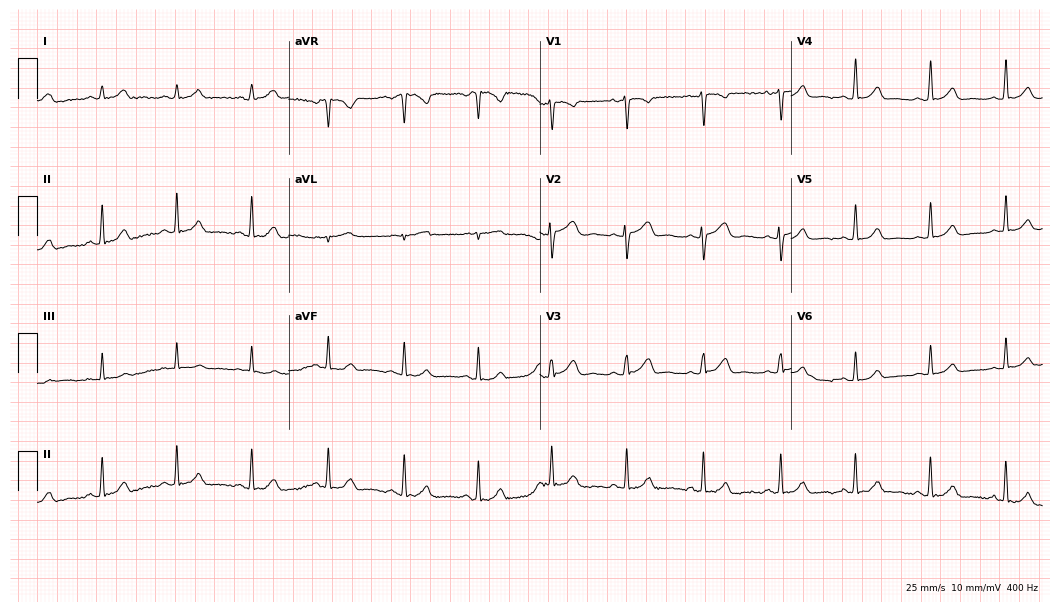
12-lead ECG from a woman, 23 years old. Screened for six findings — first-degree AV block, right bundle branch block, left bundle branch block, sinus bradycardia, atrial fibrillation, sinus tachycardia — none is recorded. Findings outside these six are not listed.